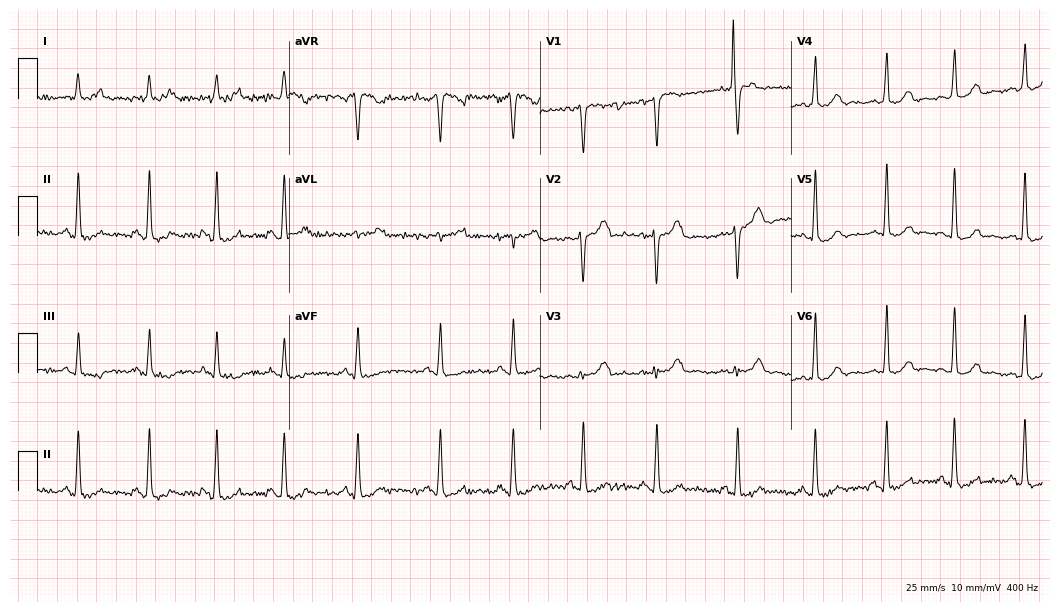
Standard 12-lead ECG recorded from a 36-year-old woman. None of these six findings is recorded: first-degree AV block, right bundle branch block, left bundle branch block, sinus bradycardia, atrial fibrillation, sinus tachycardia. Only these six findings were labelled.